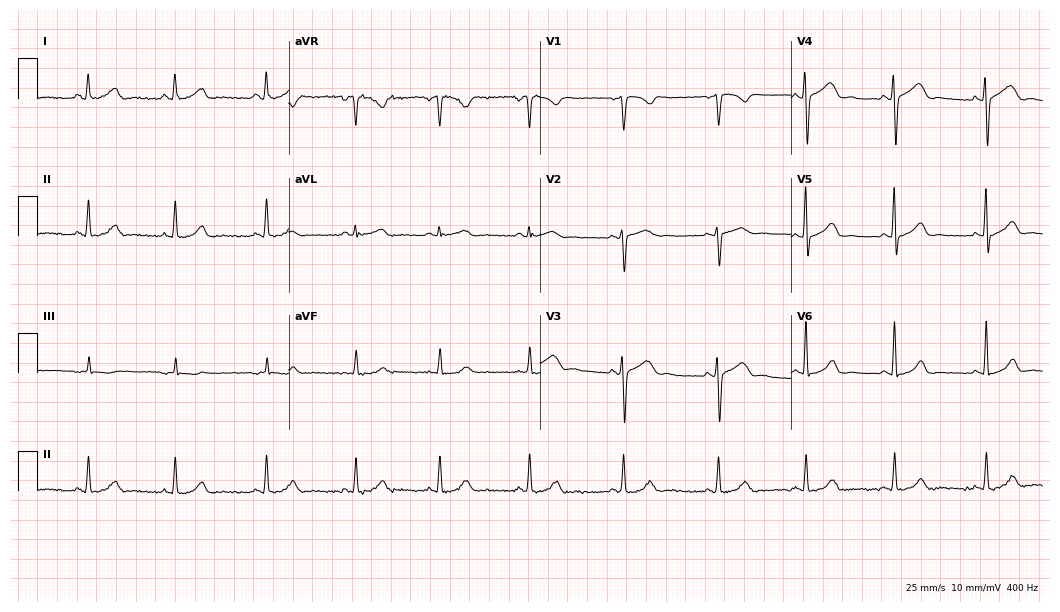
Resting 12-lead electrocardiogram. Patient: a female, 26 years old. Read as a normal ECG.